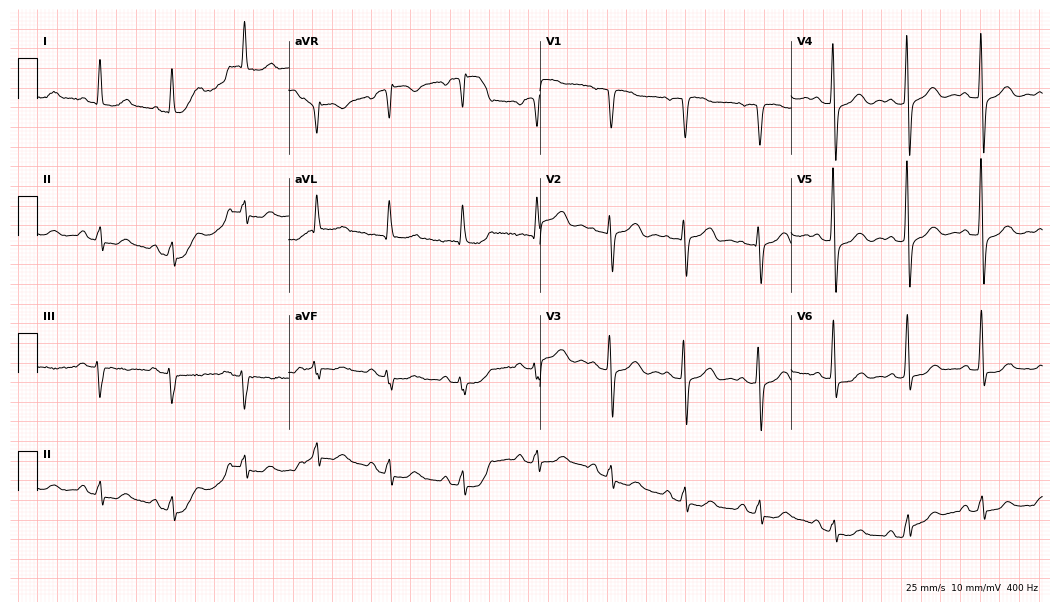
Resting 12-lead electrocardiogram. Patient: a 71-year-old woman. None of these six findings is recorded: first-degree AV block, right bundle branch block, left bundle branch block, sinus bradycardia, atrial fibrillation, sinus tachycardia. Only these six findings were labelled.